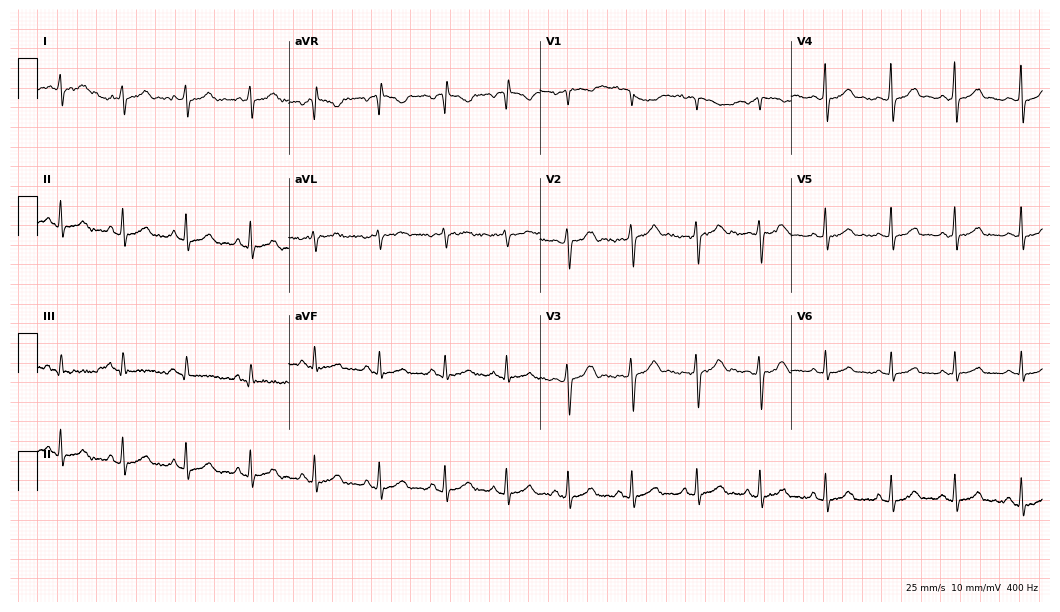
Electrocardiogram (10.2-second recording at 400 Hz), a female patient, 18 years old. Overall reading on record: normal ECG.